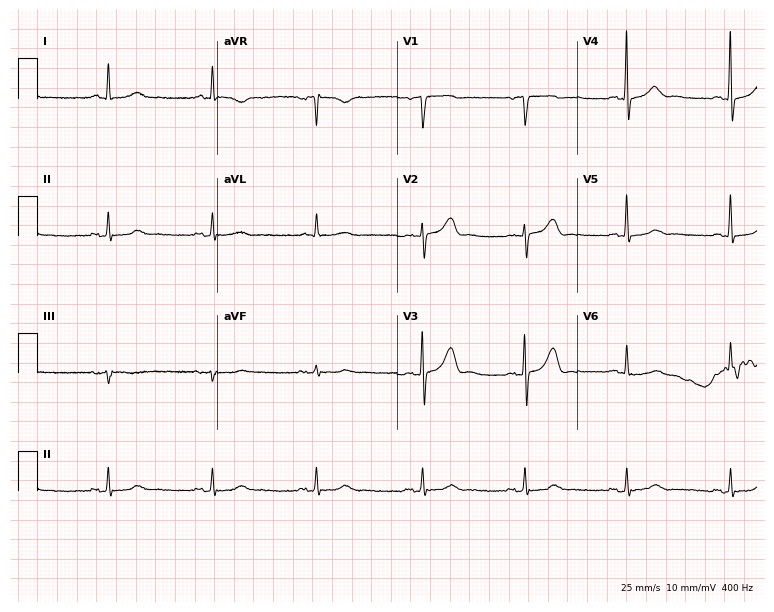
Resting 12-lead electrocardiogram. Patient: a female, 70 years old. Read as a normal ECG.